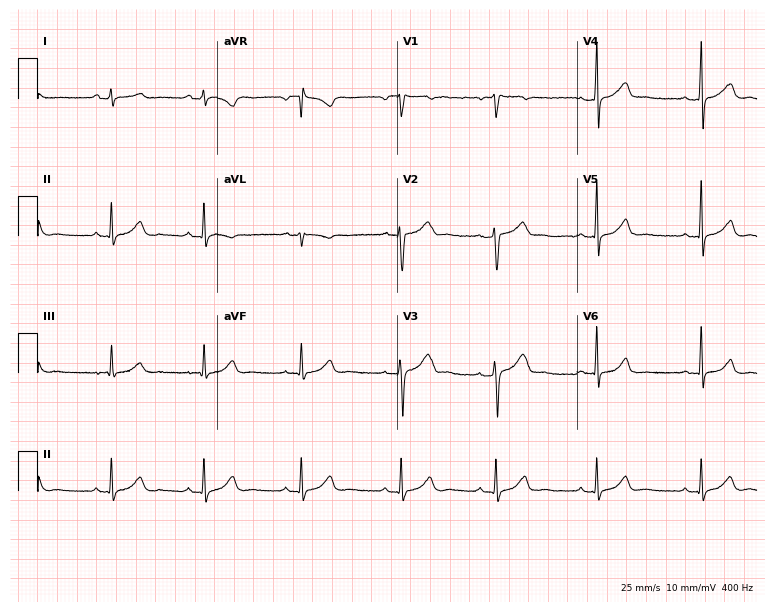
ECG — a 31-year-old female. Screened for six findings — first-degree AV block, right bundle branch block, left bundle branch block, sinus bradycardia, atrial fibrillation, sinus tachycardia — none is recorded. Only these six findings were labelled.